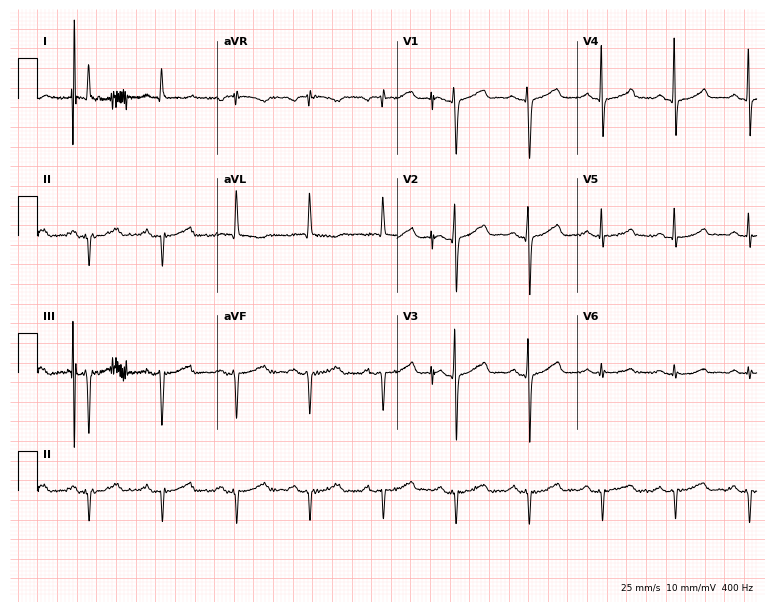
Electrocardiogram, a woman, 85 years old. Of the six screened findings (first-degree AV block, right bundle branch block, left bundle branch block, sinus bradycardia, atrial fibrillation, sinus tachycardia), none is recorded.